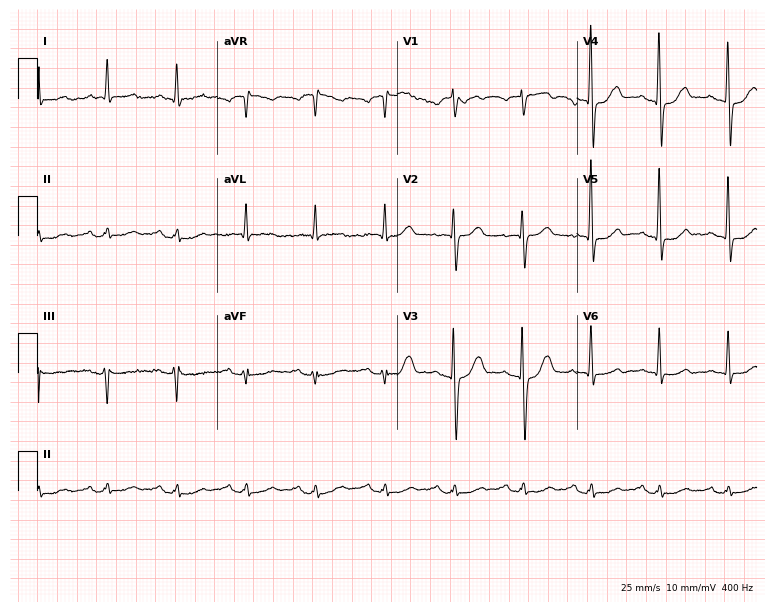
ECG — a 65-year-old male patient. Labelled as a normal ECG.